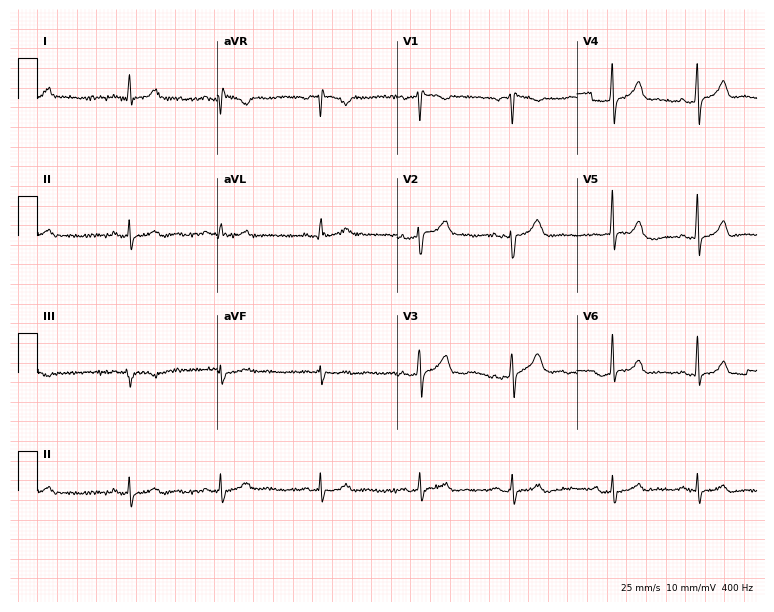
ECG — a 36-year-old male patient. Screened for six findings — first-degree AV block, right bundle branch block, left bundle branch block, sinus bradycardia, atrial fibrillation, sinus tachycardia — none is recorded.